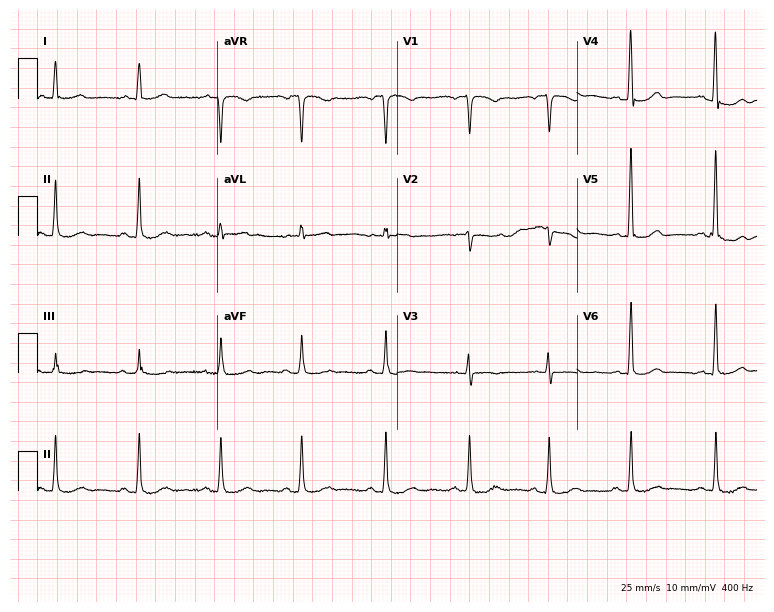
12-lead ECG from a 64-year-old female. No first-degree AV block, right bundle branch block, left bundle branch block, sinus bradycardia, atrial fibrillation or sinus tachycardia recorded for this tracing. Other findings, if any, are not listed.